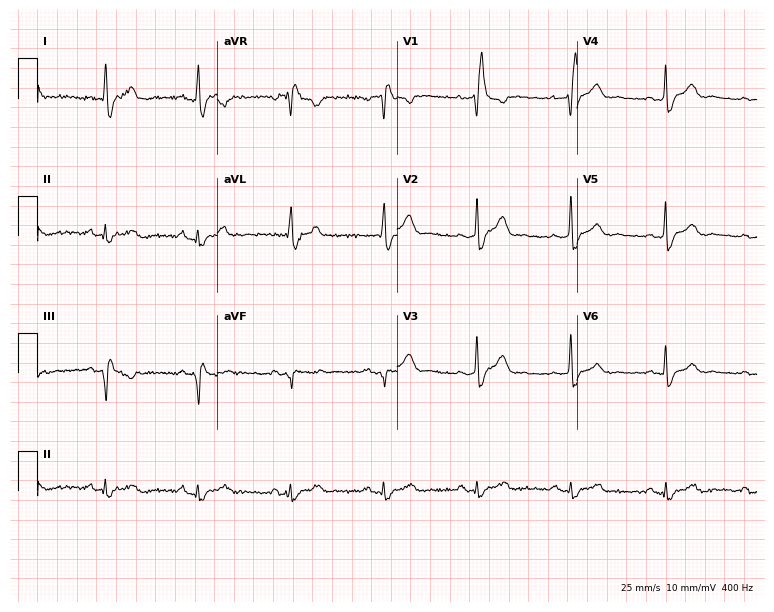
12-lead ECG from a man, 57 years old (7.3-second recording at 400 Hz). Shows right bundle branch block.